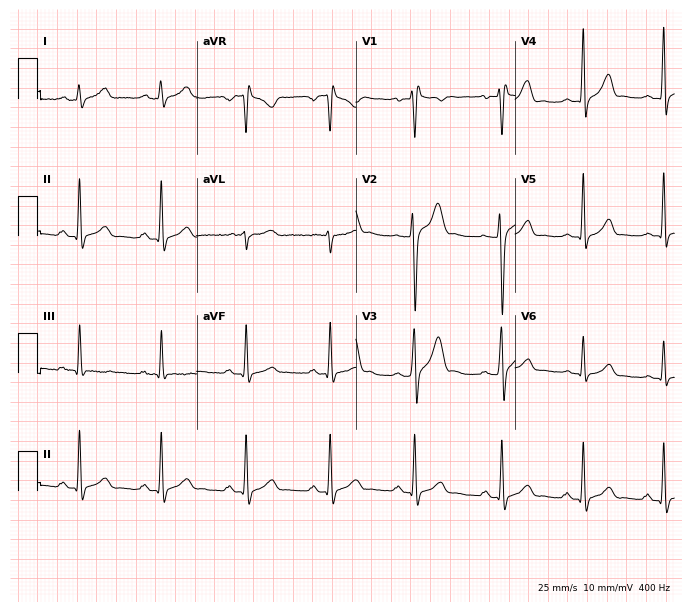
Standard 12-lead ECG recorded from a male patient, 31 years old. None of these six findings is recorded: first-degree AV block, right bundle branch block, left bundle branch block, sinus bradycardia, atrial fibrillation, sinus tachycardia. Findings outside these six are not listed.